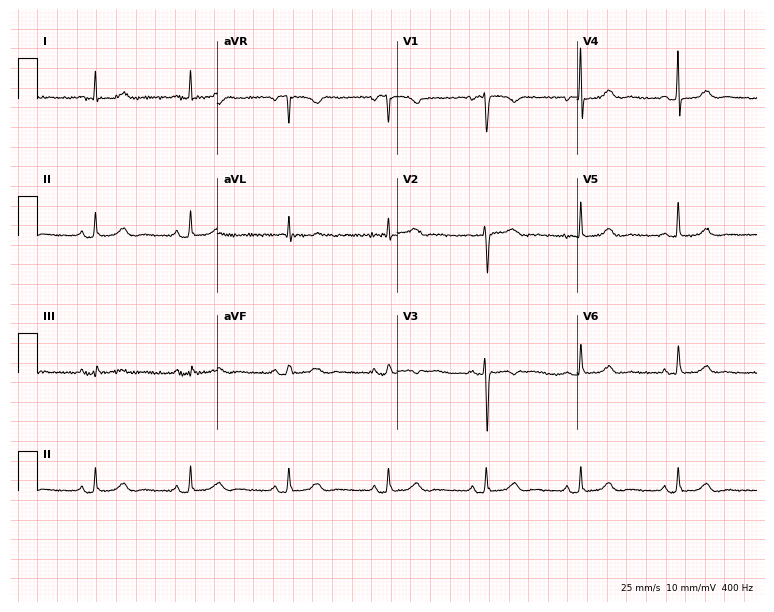
Electrocardiogram (7.3-second recording at 400 Hz), a 42-year-old female patient. Of the six screened findings (first-degree AV block, right bundle branch block, left bundle branch block, sinus bradycardia, atrial fibrillation, sinus tachycardia), none is recorded. Other findings, if any, are not listed.